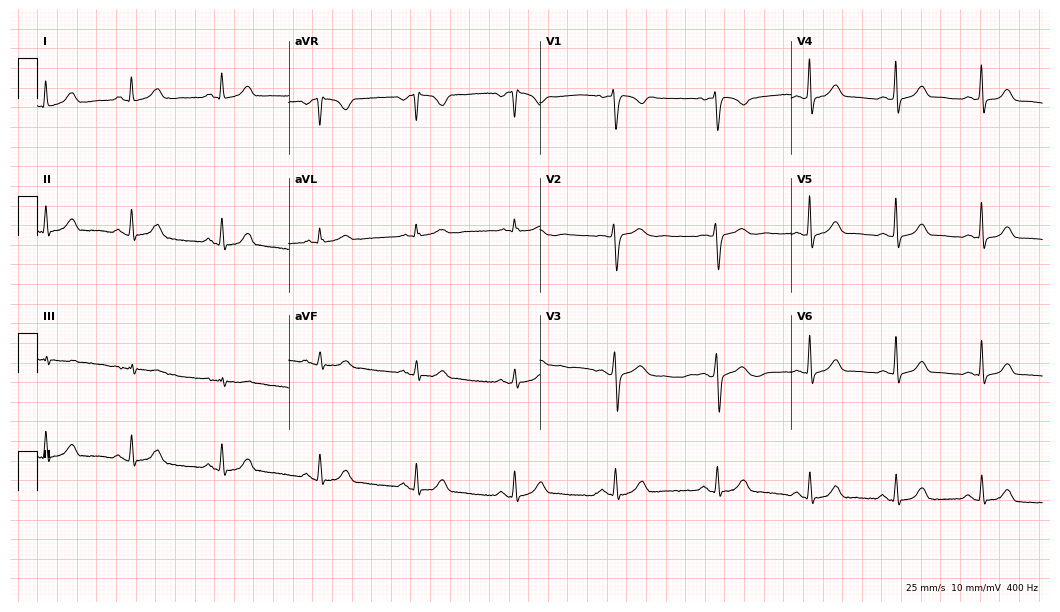
Standard 12-lead ECG recorded from a female, 34 years old. Read as a normal ECG.